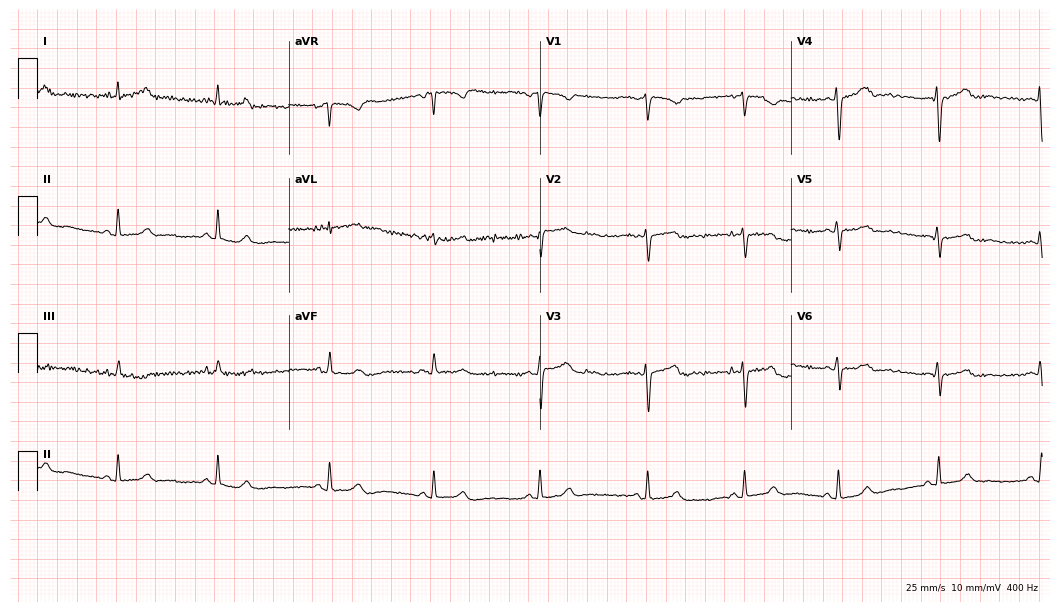
Resting 12-lead electrocardiogram. Patient: a female, 24 years old. Read as a normal ECG.